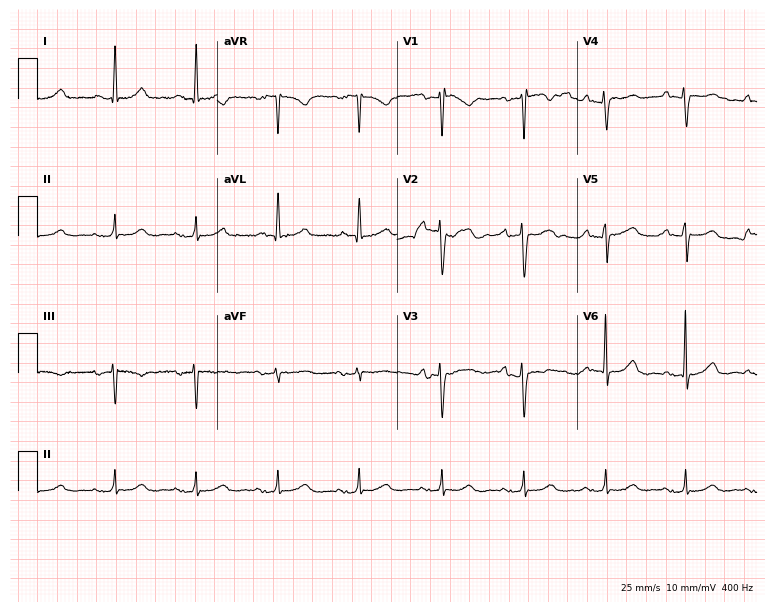
Standard 12-lead ECG recorded from a male patient, 68 years old. Read as a normal ECG.